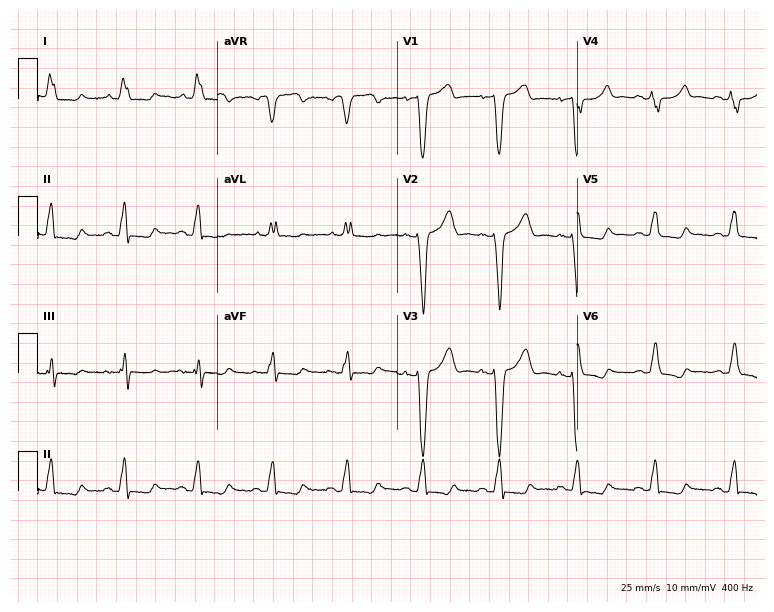
Standard 12-lead ECG recorded from a woman, 72 years old (7.3-second recording at 400 Hz). The tracing shows left bundle branch block.